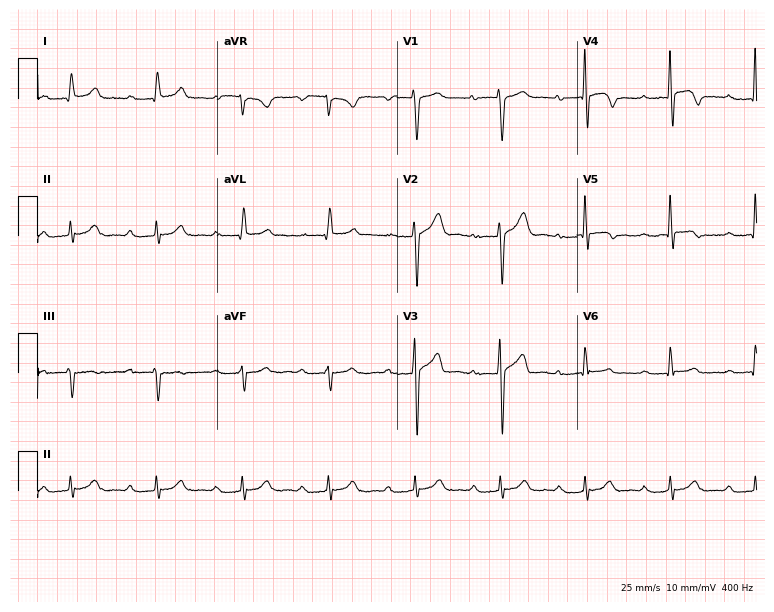
Resting 12-lead electrocardiogram (7.3-second recording at 400 Hz). Patient: a 45-year-old male. The tracing shows first-degree AV block.